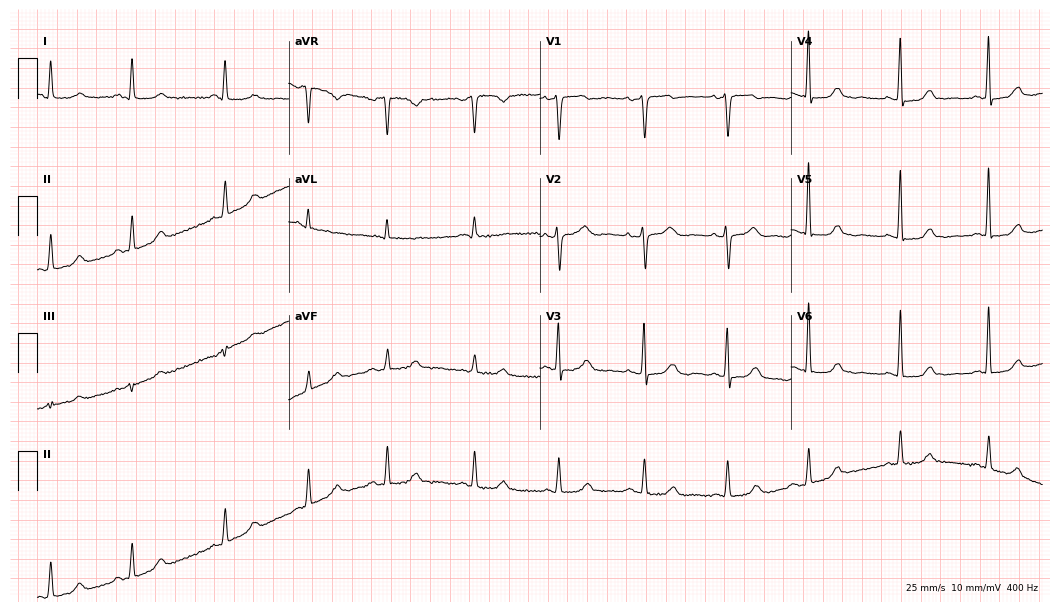
12-lead ECG from a female, 78 years old (10.2-second recording at 400 Hz). No first-degree AV block, right bundle branch block, left bundle branch block, sinus bradycardia, atrial fibrillation or sinus tachycardia recorded for this tracing. Only these six findings were labelled.